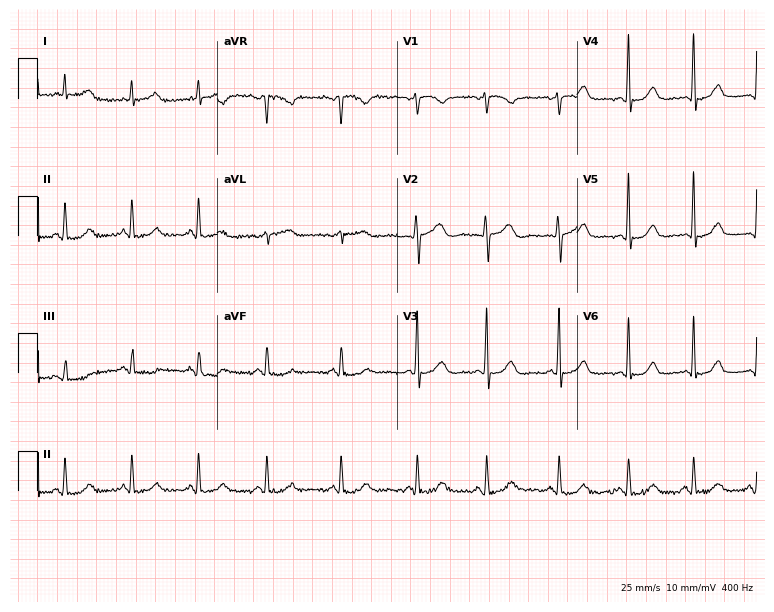
Standard 12-lead ECG recorded from a 51-year-old female patient. None of these six findings is recorded: first-degree AV block, right bundle branch block, left bundle branch block, sinus bradycardia, atrial fibrillation, sinus tachycardia.